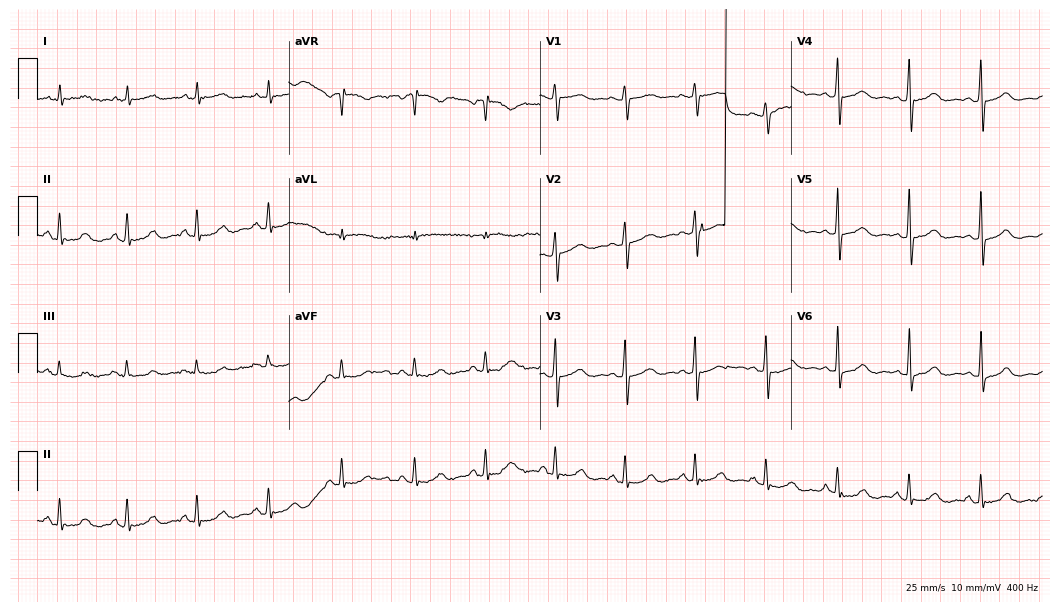
12-lead ECG from a female patient, 52 years old (10.2-second recording at 400 Hz). No first-degree AV block, right bundle branch block, left bundle branch block, sinus bradycardia, atrial fibrillation or sinus tachycardia recorded for this tracing.